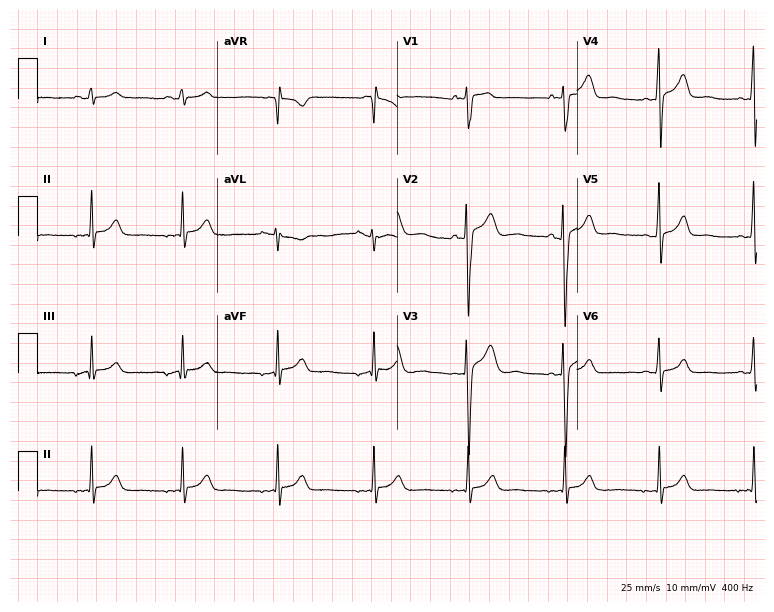
ECG (7.3-second recording at 400 Hz) — a 21-year-old man. Labelled as a normal ECG.